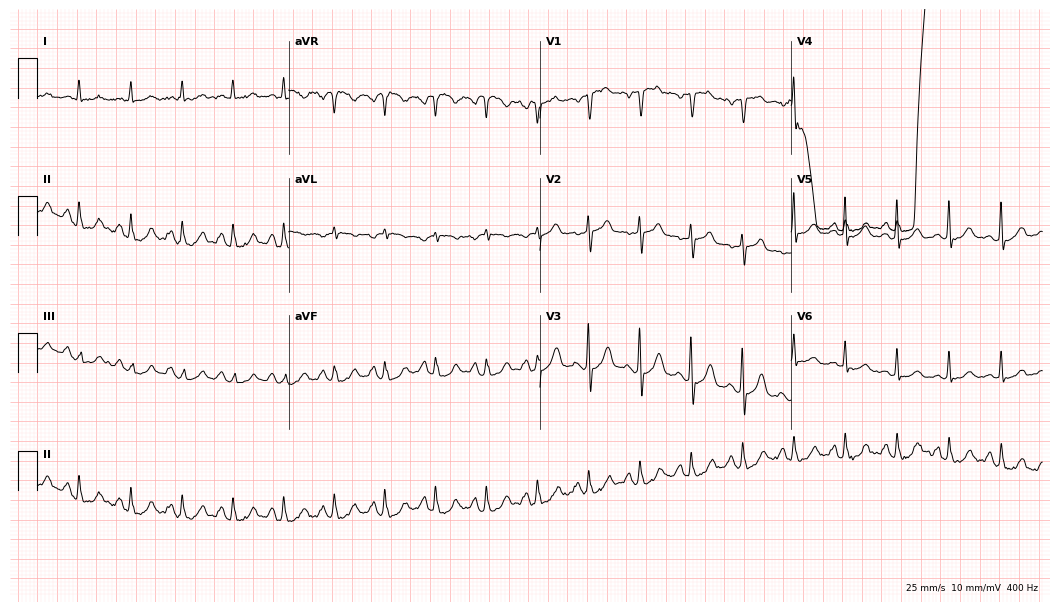
12-lead ECG (10.2-second recording at 400 Hz) from a 69-year-old male. Findings include sinus tachycardia (a sinus rate of 100 beats per minute or more).